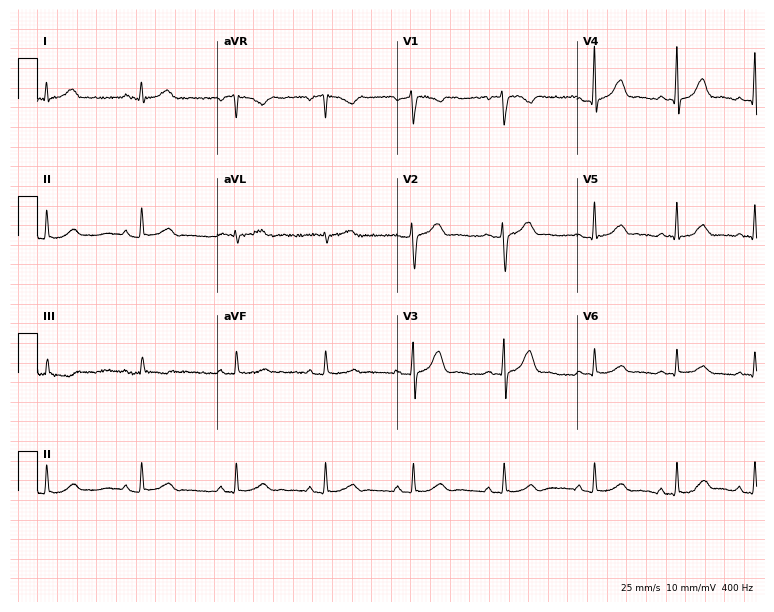
Standard 12-lead ECG recorded from a 35-year-old female. None of these six findings is recorded: first-degree AV block, right bundle branch block (RBBB), left bundle branch block (LBBB), sinus bradycardia, atrial fibrillation (AF), sinus tachycardia. Only these six findings were labelled.